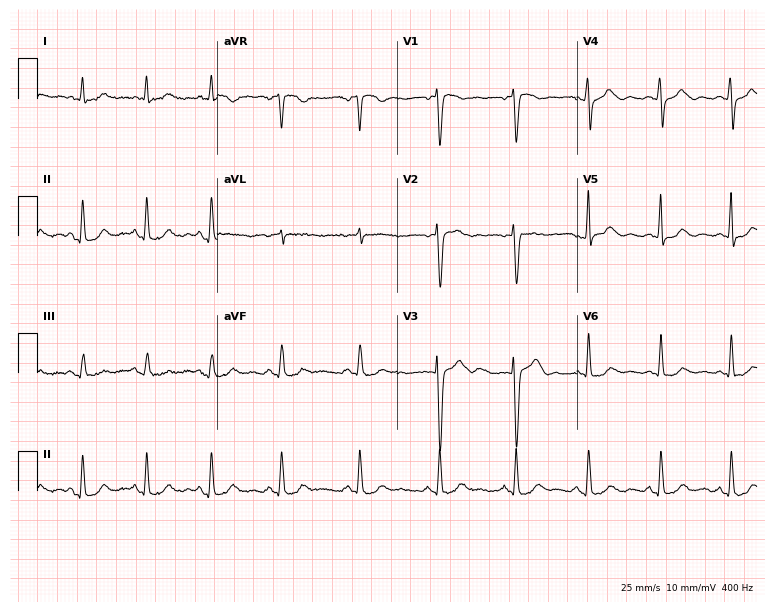
12-lead ECG from a 42-year-old woman. Recorded interpretation: within normal limits.